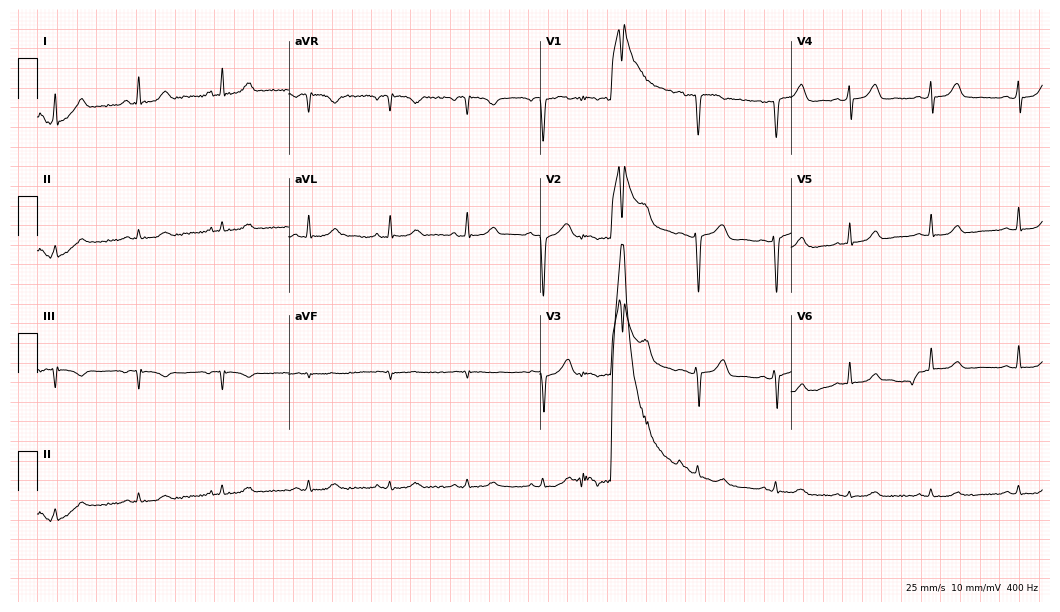
Electrocardiogram (10.2-second recording at 400 Hz), a female, 39 years old. Overall reading on record: normal ECG.